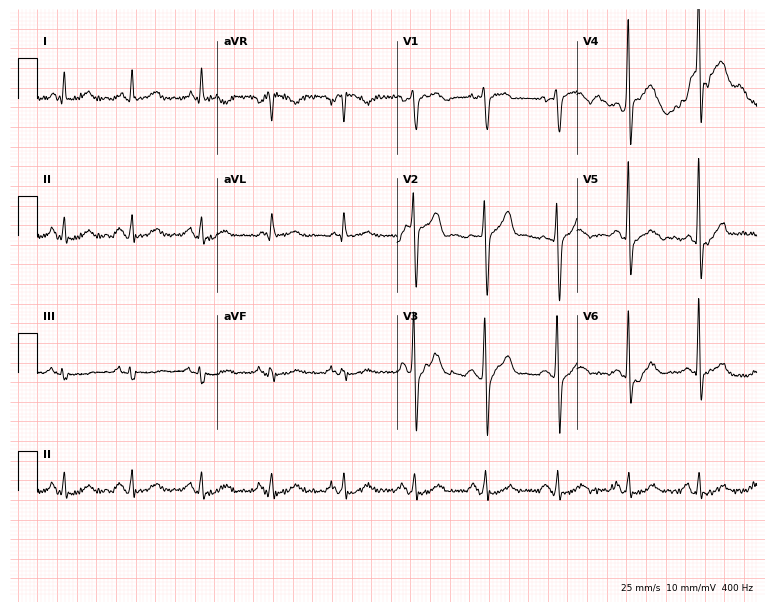
Standard 12-lead ECG recorded from a male, 64 years old (7.3-second recording at 400 Hz). Read as a normal ECG.